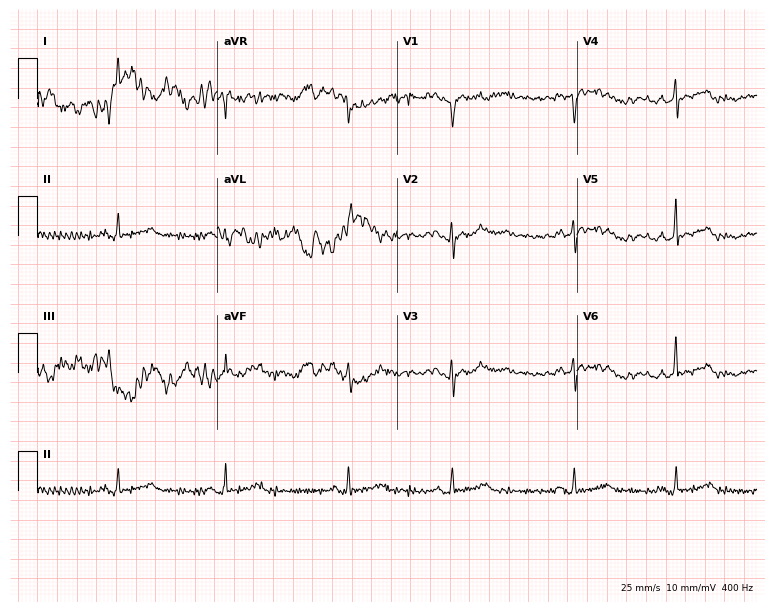
Resting 12-lead electrocardiogram. Patient: a 71-year-old female. None of these six findings is recorded: first-degree AV block, right bundle branch block, left bundle branch block, sinus bradycardia, atrial fibrillation, sinus tachycardia. Other findings, if any, are not listed.